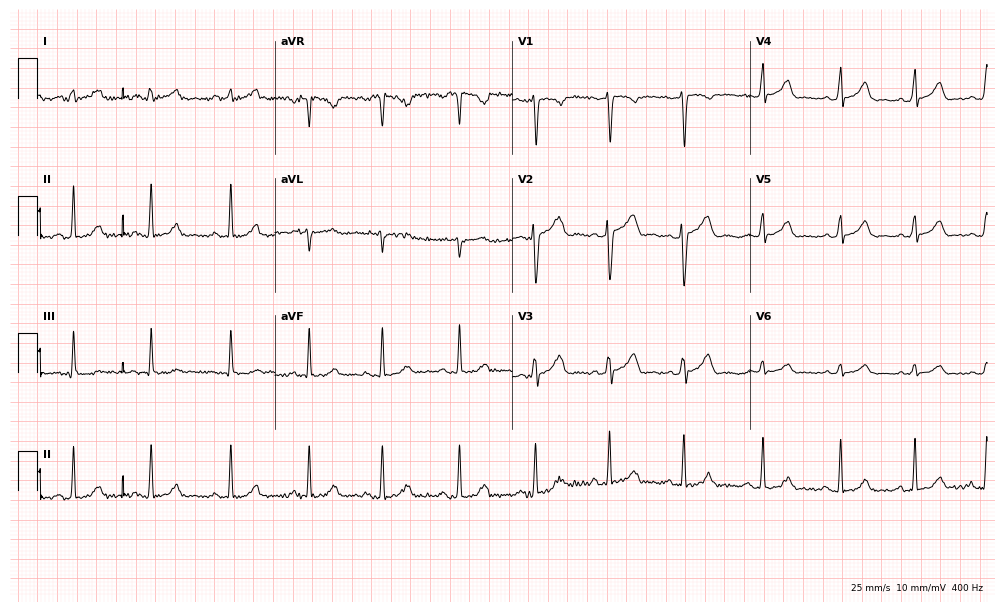
12-lead ECG from a 20-year-old female. Labelled as a normal ECG.